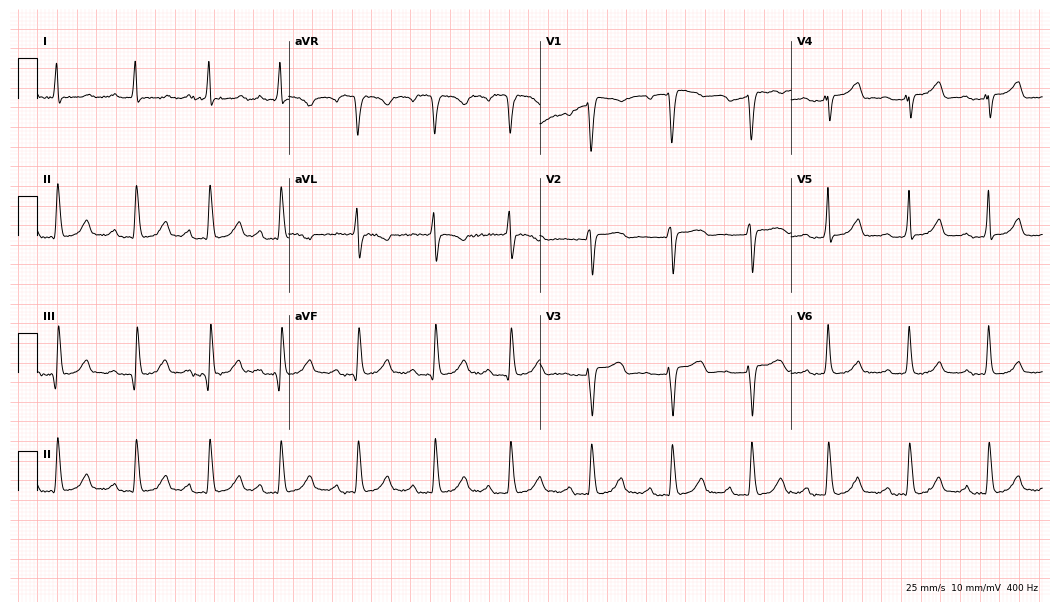
12-lead ECG (10.2-second recording at 400 Hz) from a 61-year-old female. Findings include first-degree AV block.